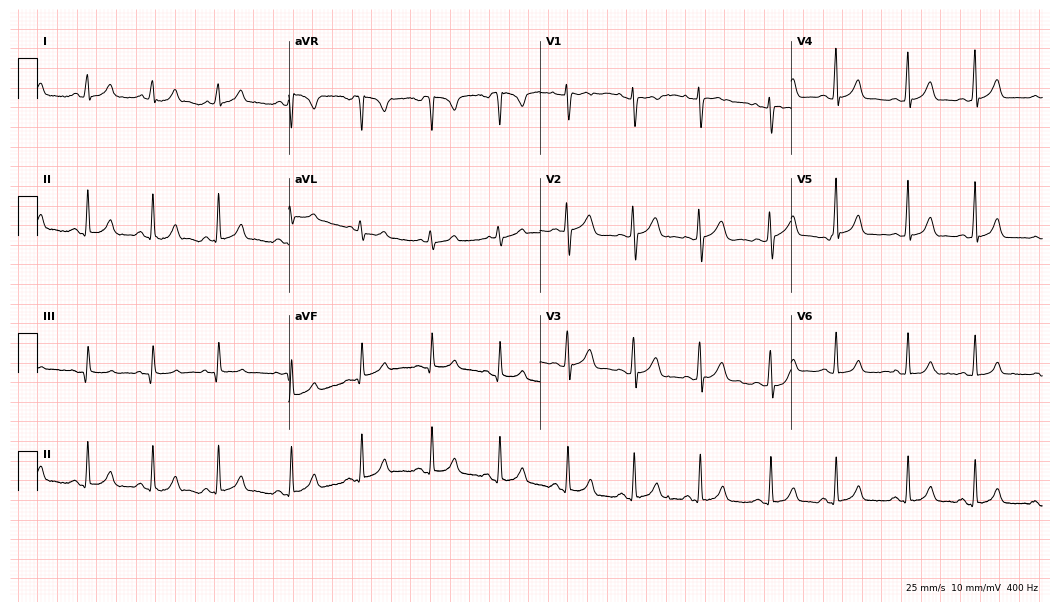
Electrocardiogram, a 21-year-old woman. Overall reading on record: normal ECG.